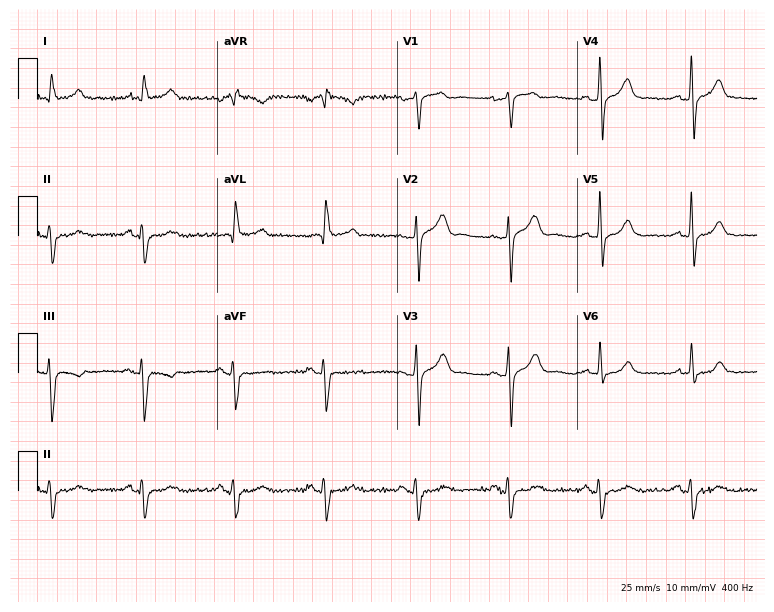
12-lead ECG from a male, 78 years old (7.3-second recording at 400 Hz). No first-degree AV block, right bundle branch block, left bundle branch block, sinus bradycardia, atrial fibrillation or sinus tachycardia recorded for this tracing. Only these six findings were labelled.